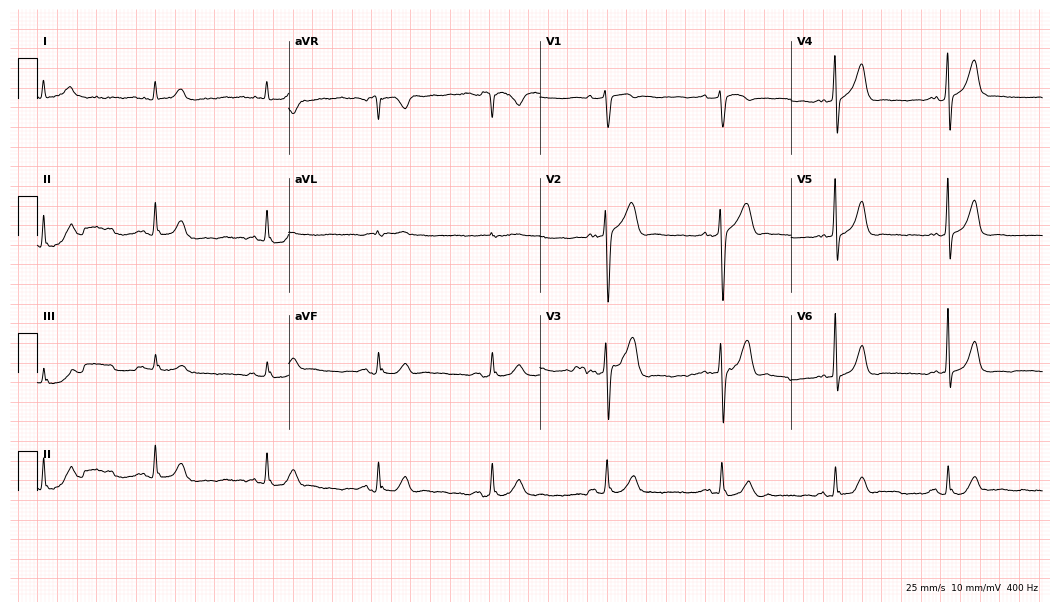
ECG (10.2-second recording at 400 Hz) — a male, 74 years old. Screened for six findings — first-degree AV block, right bundle branch block, left bundle branch block, sinus bradycardia, atrial fibrillation, sinus tachycardia — none is recorded.